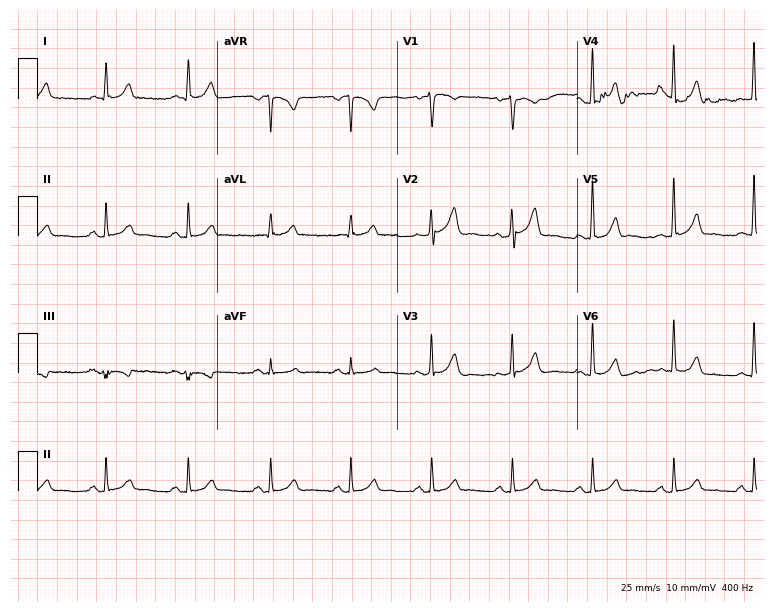
Standard 12-lead ECG recorded from a male patient, 61 years old (7.3-second recording at 400 Hz). Read as a normal ECG.